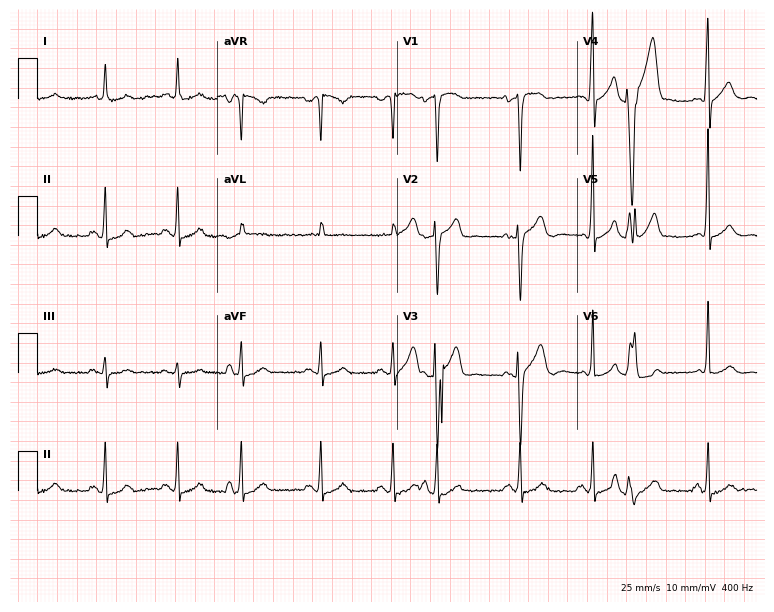
12-lead ECG from a male patient, 69 years old (7.3-second recording at 400 Hz). No first-degree AV block, right bundle branch block, left bundle branch block, sinus bradycardia, atrial fibrillation or sinus tachycardia recorded for this tracing. Only these six findings were labelled.